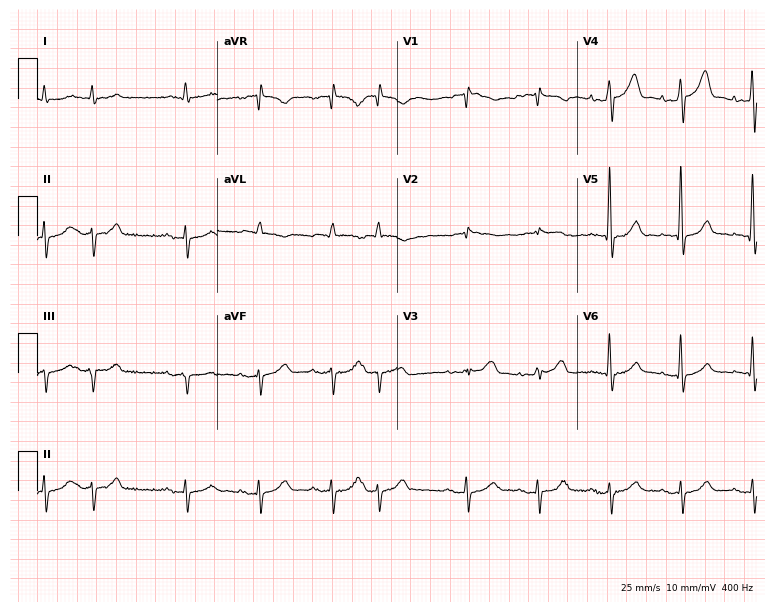
Electrocardiogram, an 81-year-old male patient. Of the six screened findings (first-degree AV block, right bundle branch block, left bundle branch block, sinus bradycardia, atrial fibrillation, sinus tachycardia), none is recorded. Only these six findings were labelled.